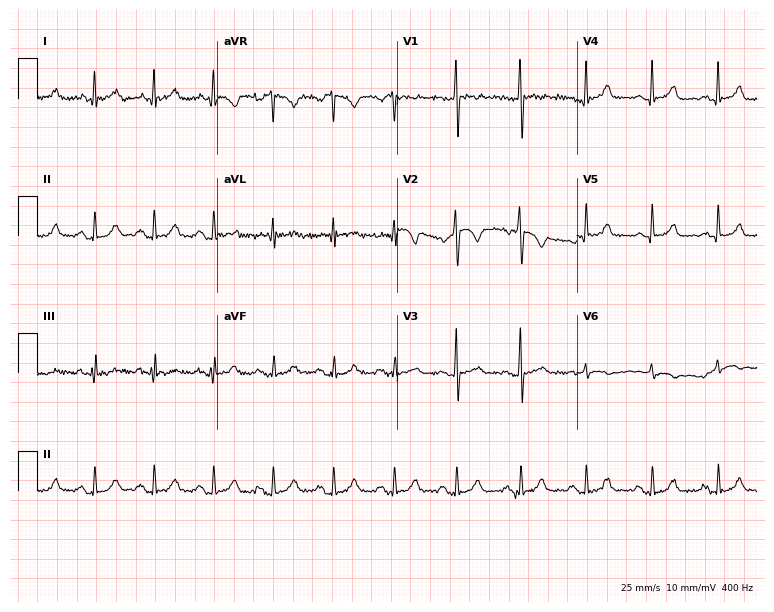
Electrocardiogram, a woman, 44 years old. Of the six screened findings (first-degree AV block, right bundle branch block, left bundle branch block, sinus bradycardia, atrial fibrillation, sinus tachycardia), none is recorded.